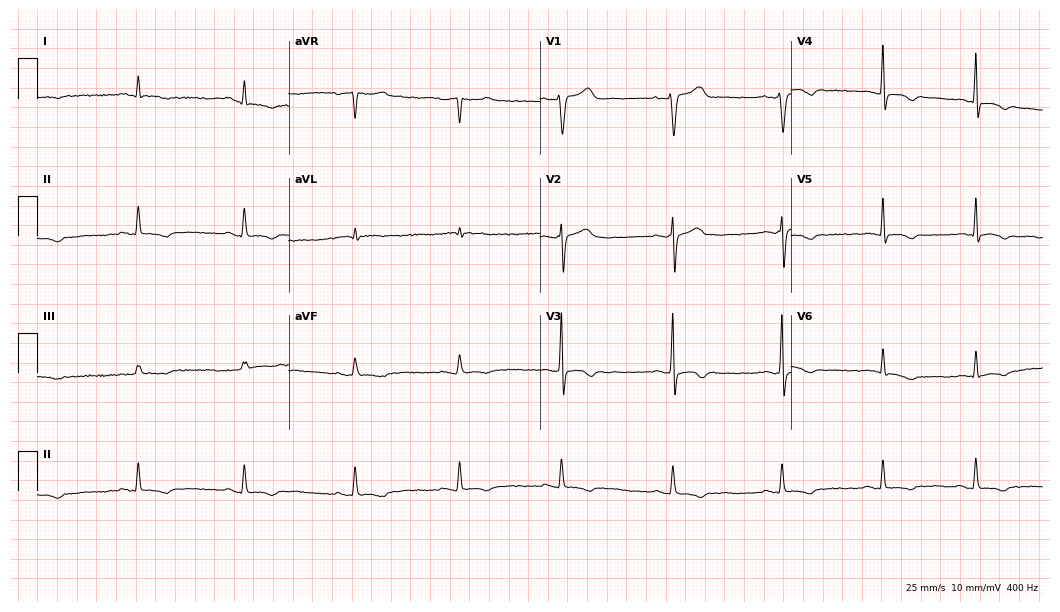
12-lead ECG (10.2-second recording at 400 Hz) from a male patient, 42 years old. Screened for six findings — first-degree AV block, right bundle branch block, left bundle branch block, sinus bradycardia, atrial fibrillation, sinus tachycardia — none is recorded. Other findings, if any, are not listed.